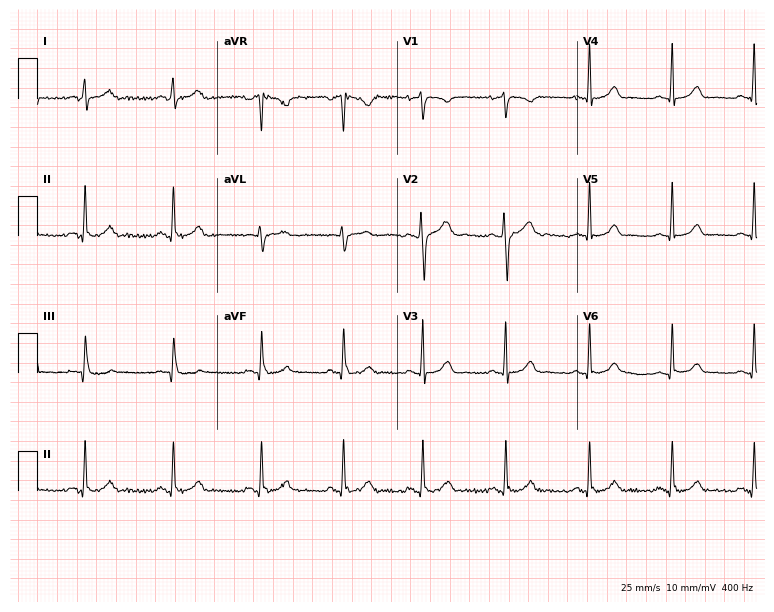
Resting 12-lead electrocardiogram. Patient: a female, 27 years old. Read as a normal ECG.